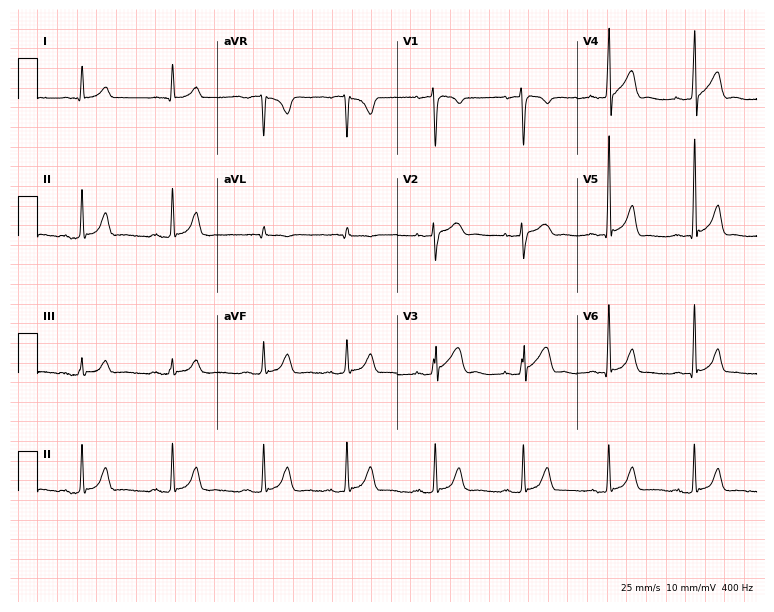
Electrocardiogram (7.3-second recording at 400 Hz), a male, 25 years old. Of the six screened findings (first-degree AV block, right bundle branch block, left bundle branch block, sinus bradycardia, atrial fibrillation, sinus tachycardia), none is recorded.